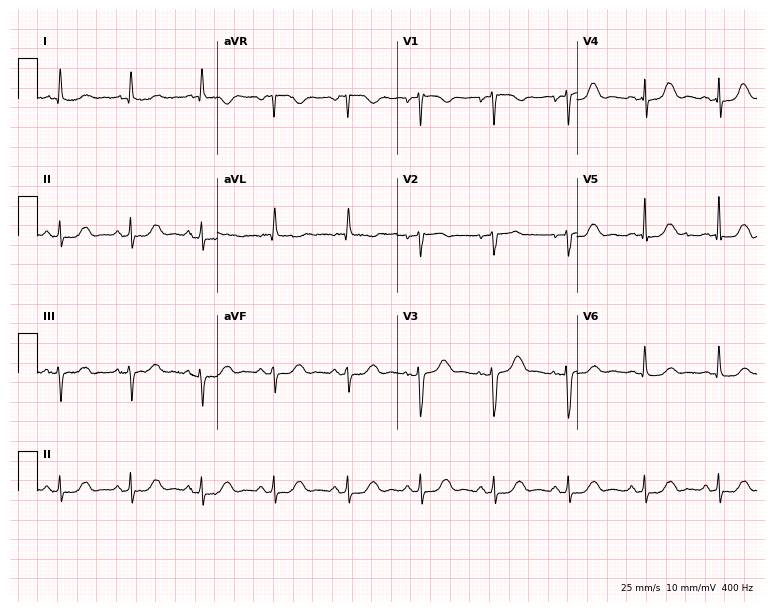
12-lead ECG from a female patient, 86 years old. Recorded interpretation: within normal limits.